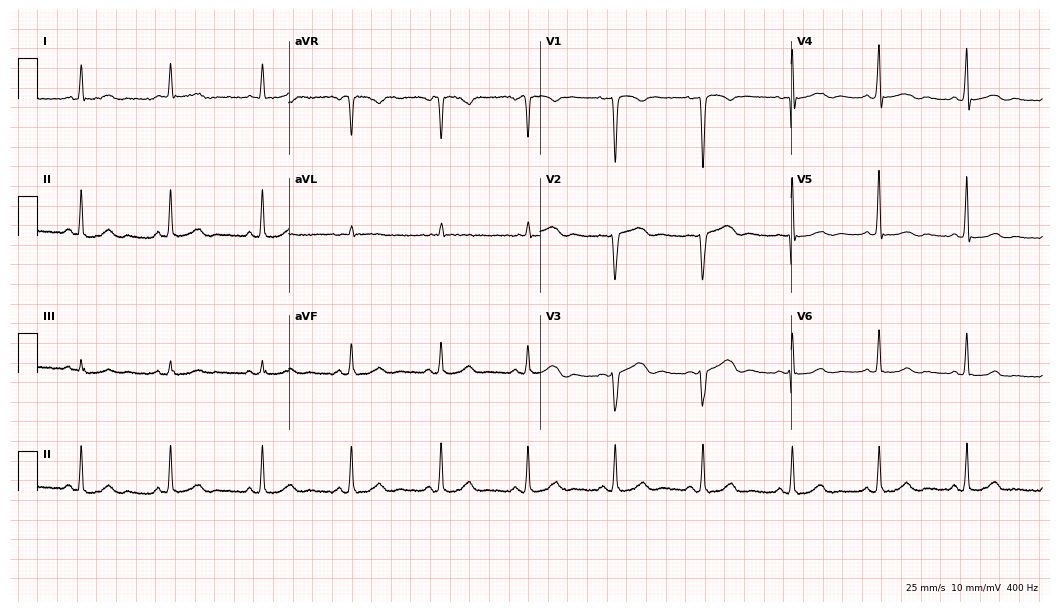
ECG (10.2-second recording at 400 Hz) — a 52-year-old woman. Screened for six findings — first-degree AV block, right bundle branch block, left bundle branch block, sinus bradycardia, atrial fibrillation, sinus tachycardia — none is recorded. Other findings, if any, are not listed.